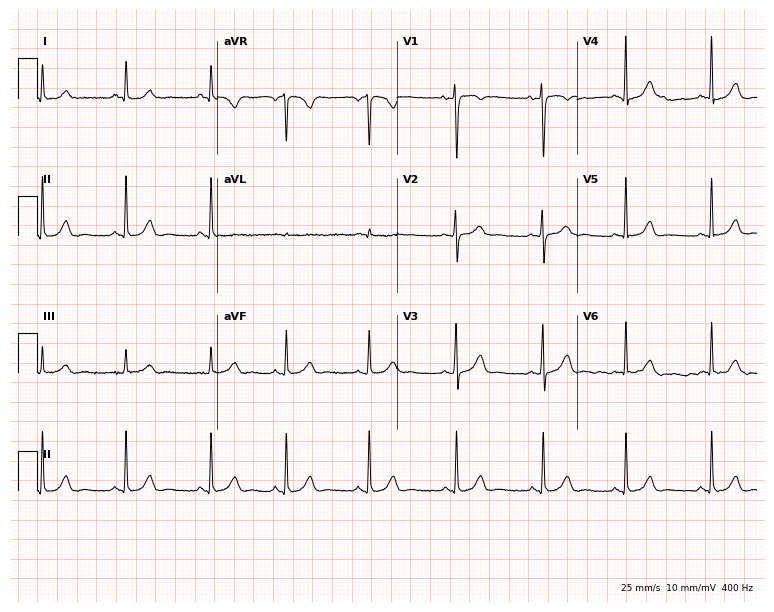
Electrocardiogram, a 34-year-old female. Overall reading on record: normal ECG.